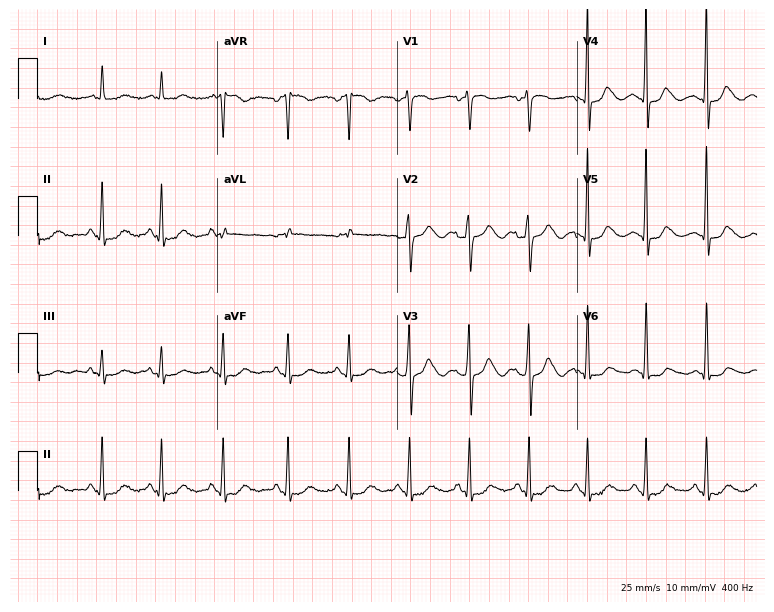
ECG (7.3-second recording at 400 Hz) — a woman, 37 years old. Screened for six findings — first-degree AV block, right bundle branch block, left bundle branch block, sinus bradycardia, atrial fibrillation, sinus tachycardia — none is recorded. Other findings, if any, are not listed.